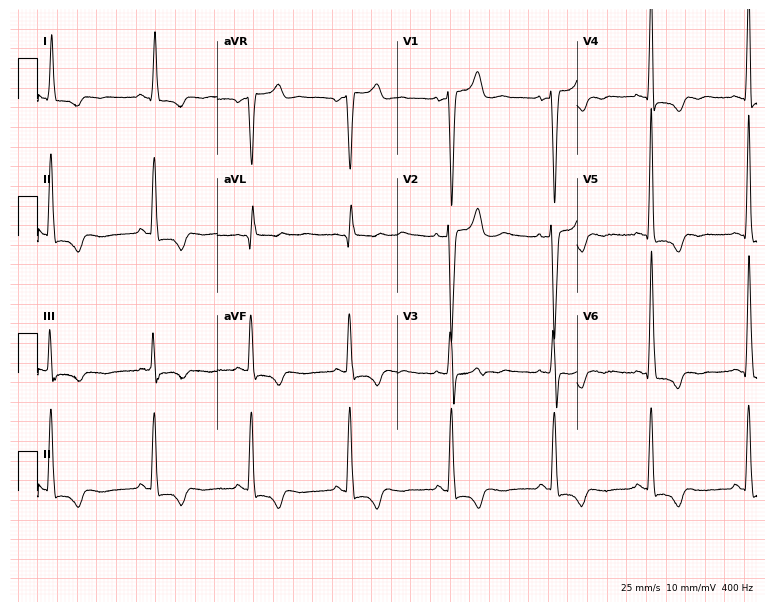
12-lead ECG from a male patient, 50 years old. No first-degree AV block, right bundle branch block, left bundle branch block, sinus bradycardia, atrial fibrillation or sinus tachycardia recorded for this tracing.